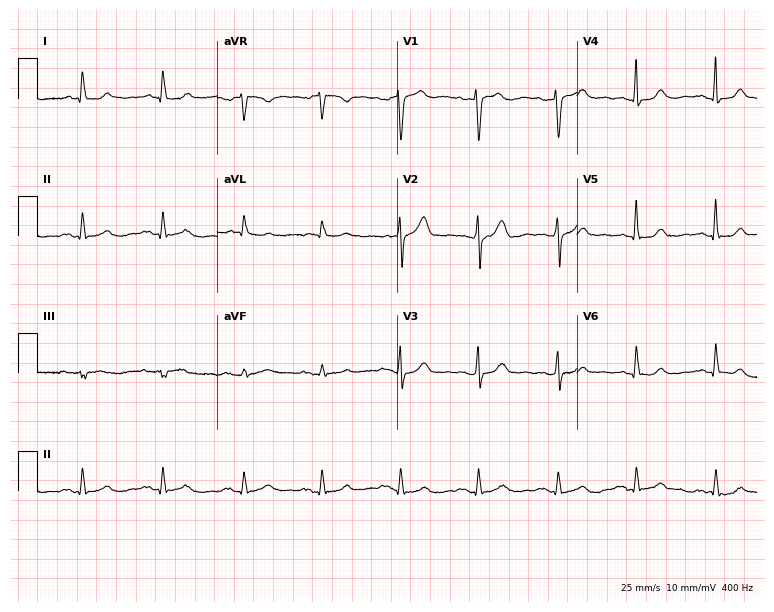
Electrocardiogram, a male, 80 years old. Overall reading on record: normal ECG.